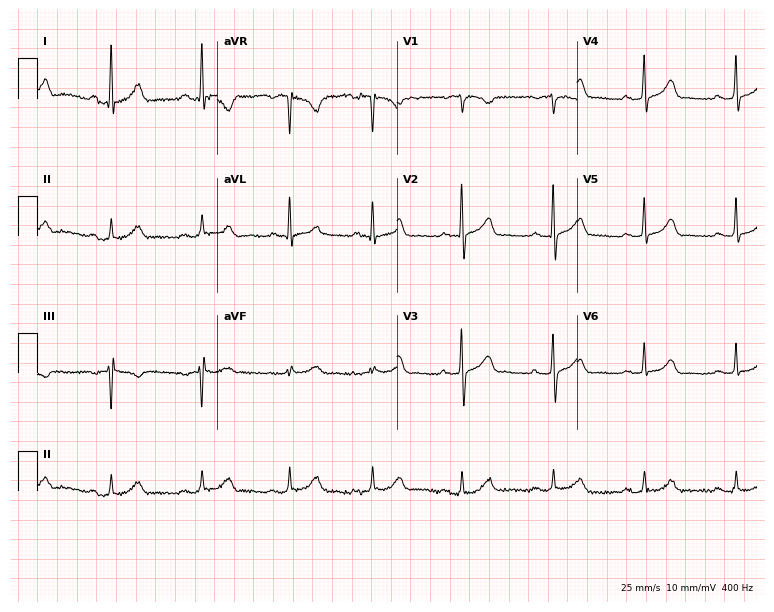
Resting 12-lead electrocardiogram. Patient: a woman, 58 years old. Read as a normal ECG.